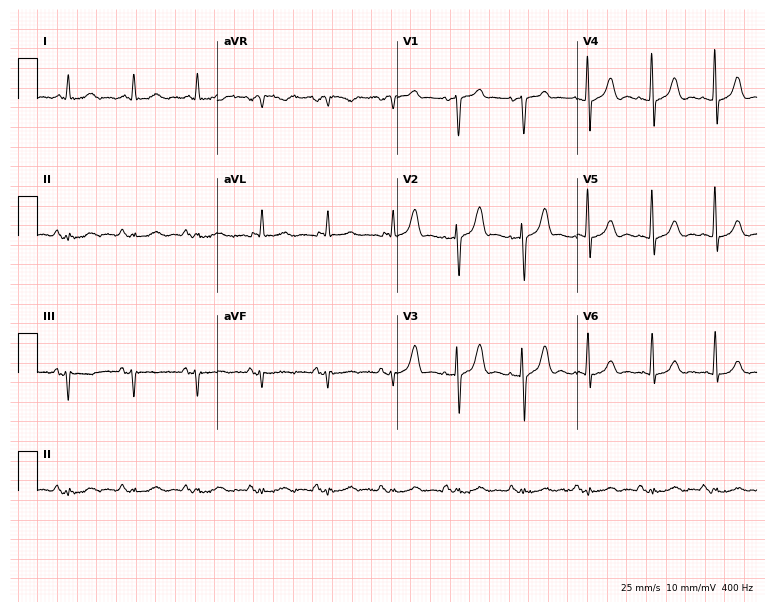
Resting 12-lead electrocardiogram. Patient: a male, 76 years old. Read as a normal ECG.